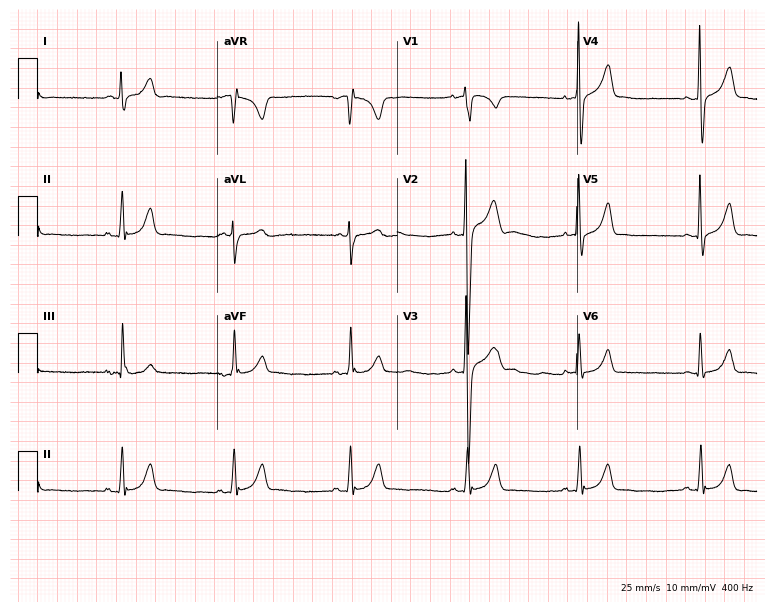
Standard 12-lead ECG recorded from a female, 18 years old. Read as a normal ECG.